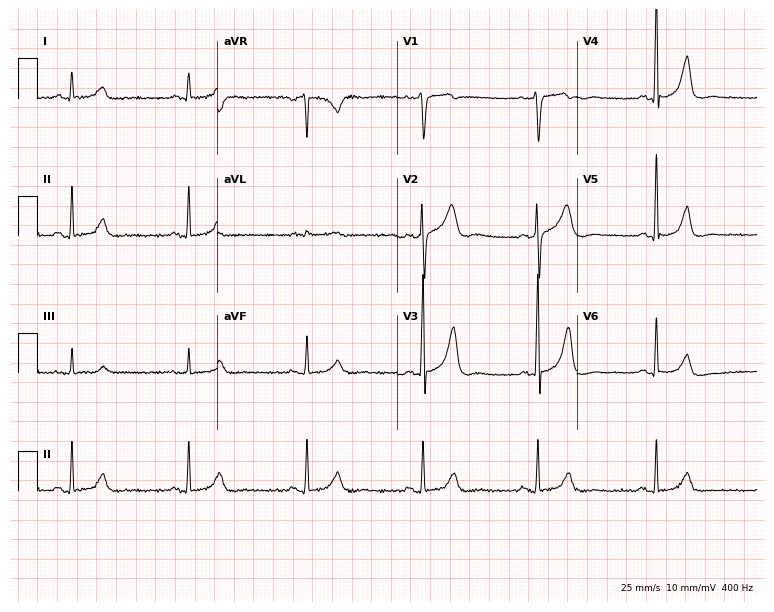
Electrocardiogram (7.3-second recording at 400 Hz), a 64-year-old man. Of the six screened findings (first-degree AV block, right bundle branch block (RBBB), left bundle branch block (LBBB), sinus bradycardia, atrial fibrillation (AF), sinus tachycardia), none is recorded.